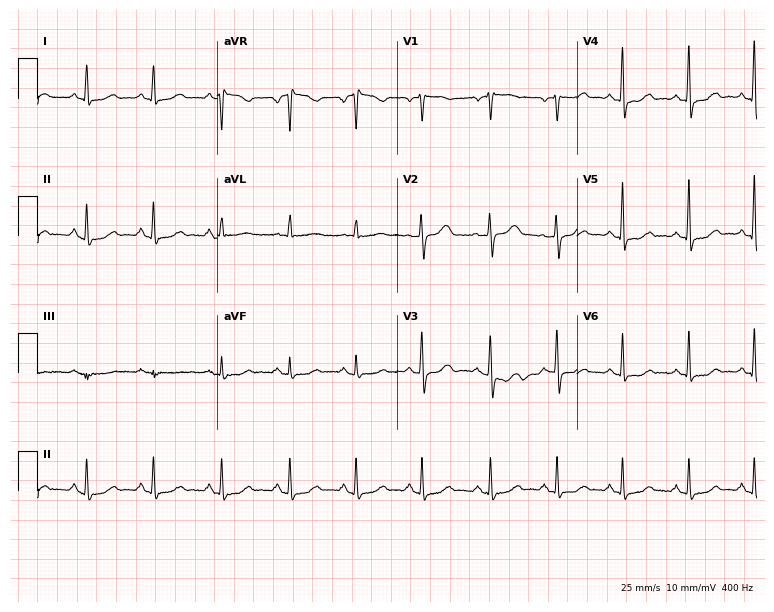
Standard 12-lead ECG recorded from a 55-year-old female patient. Read as a normal ECG.